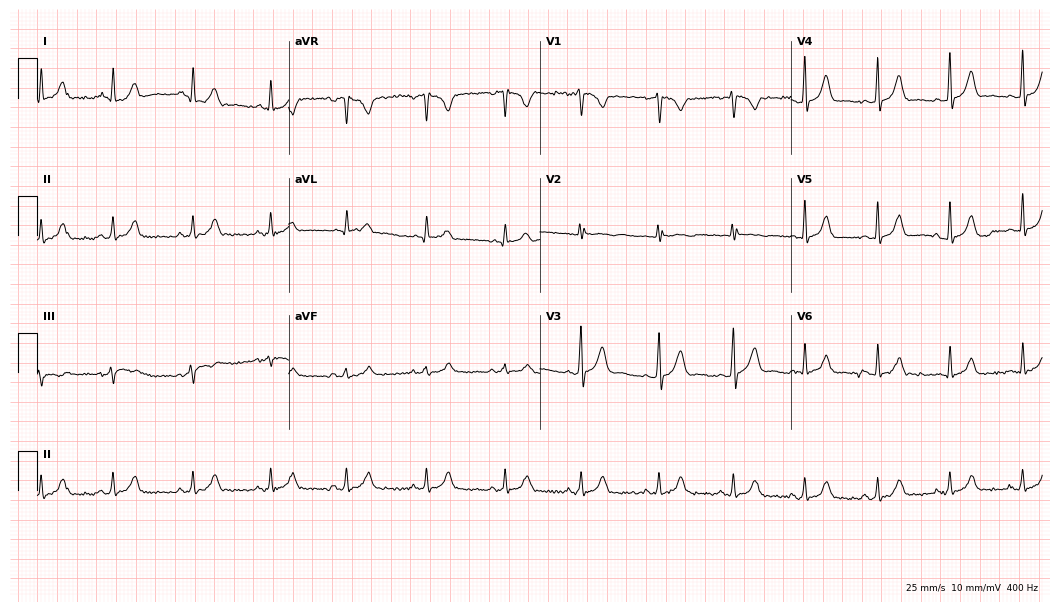
Electrocardiogram, a female patient, 25 years old. Of the six screened findings (first-degree AV block, right bundle branch block, left bundle branch block, sinus bradycardia, atrial fibrillation, sinus tachycardia), none is recorded. Findings outside these six are not listed.